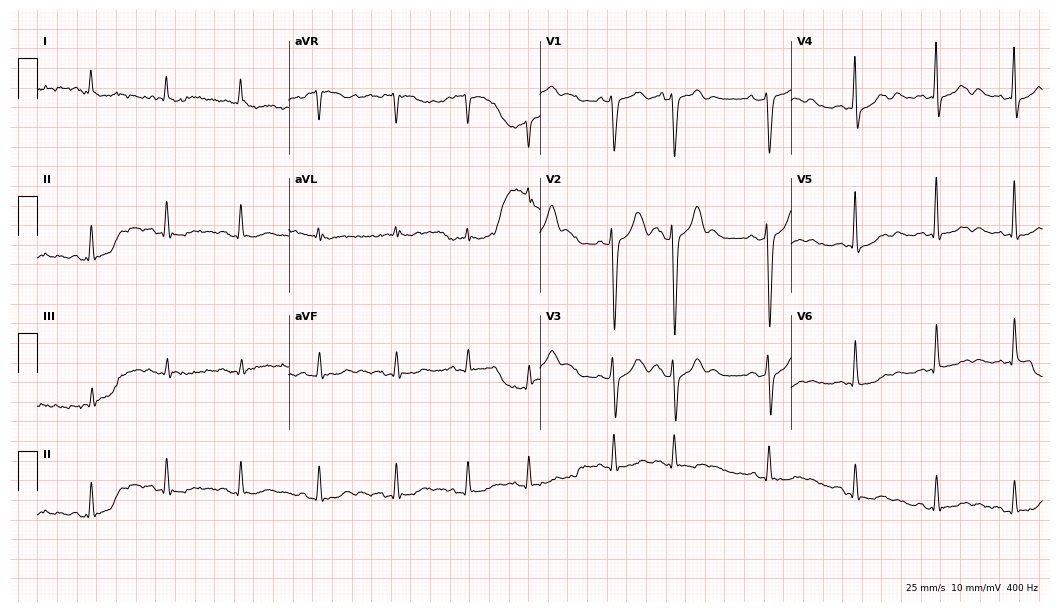
Electrocardiogram (10.2-second recording at 400 Hz), a 60-year-old female. Of the six screened findings (first-degree AV block, right bundle branch block, left bundle branch block, sinus bradycardia, atrial fibrillation, sinus tachycardia), none is recorded. Findings outside these six are not listed.